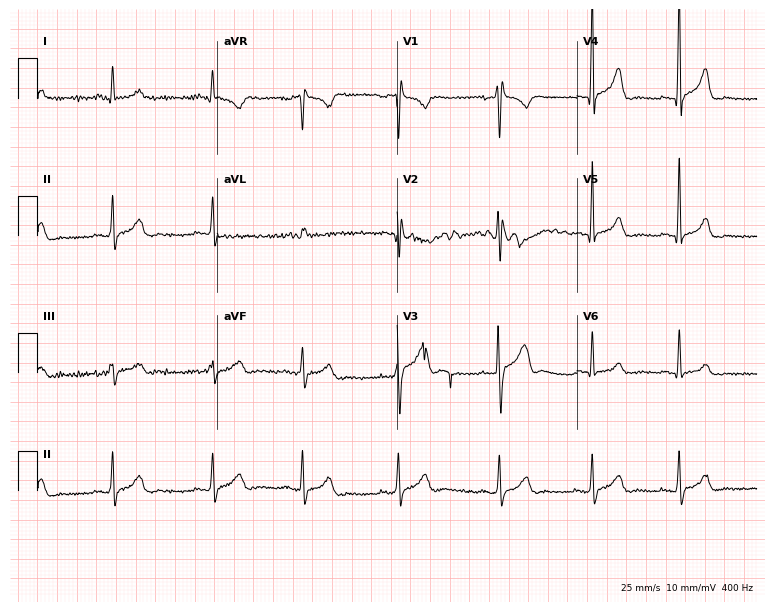
ECG — a male patient, 31 years old. Screened for six findings — first-degree AV block, right bundle branch block (RBBB), left bundle branch block (LBBB), sinus bradycardia, atrial fibrillation (AF), sinus tachycardia — none is recorded.